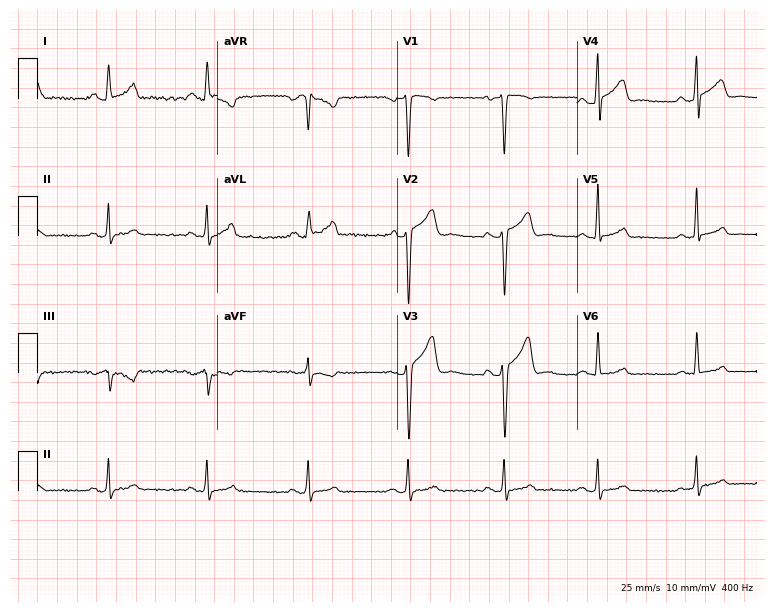
Standard 12-lead ECG recorded from a male patient, 35 years old (7.3-second recording at 400 Hz). None of these six findings is recorded: first-degree AV block, right bundle branch block, left bundle branch block, sinus bradycardia, atrial fibrillation, sinus tachycardia.